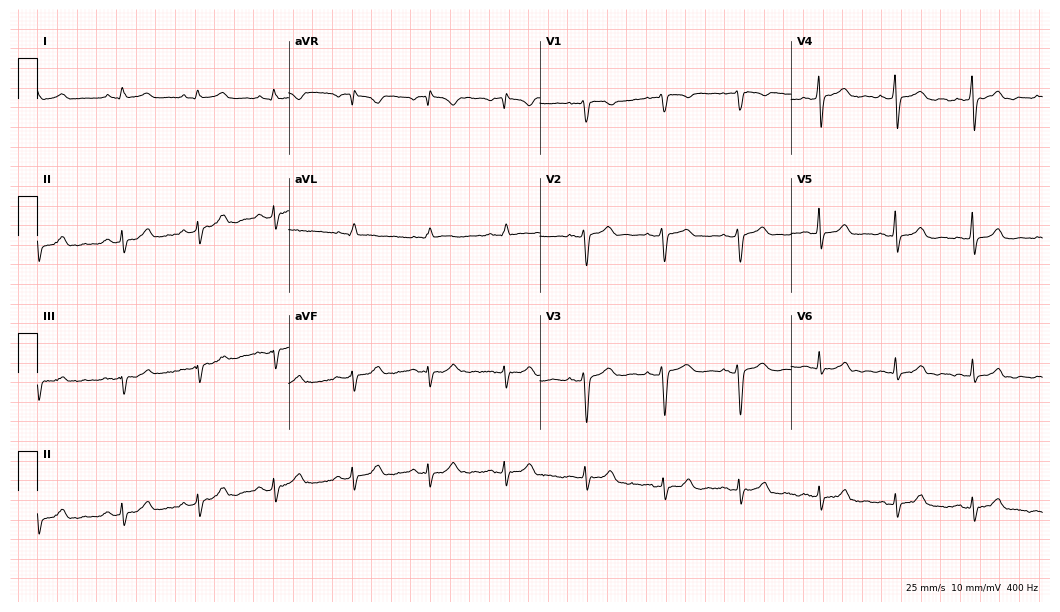
ECG — a female, 31 years old. Screened for six findings — first-degree AV block, right bundle branch block, left bundle branch block, sinus bradycardia, atrial fibrillation, sinus tachycardia — none is recorded. Other findings, if any, are not listed.